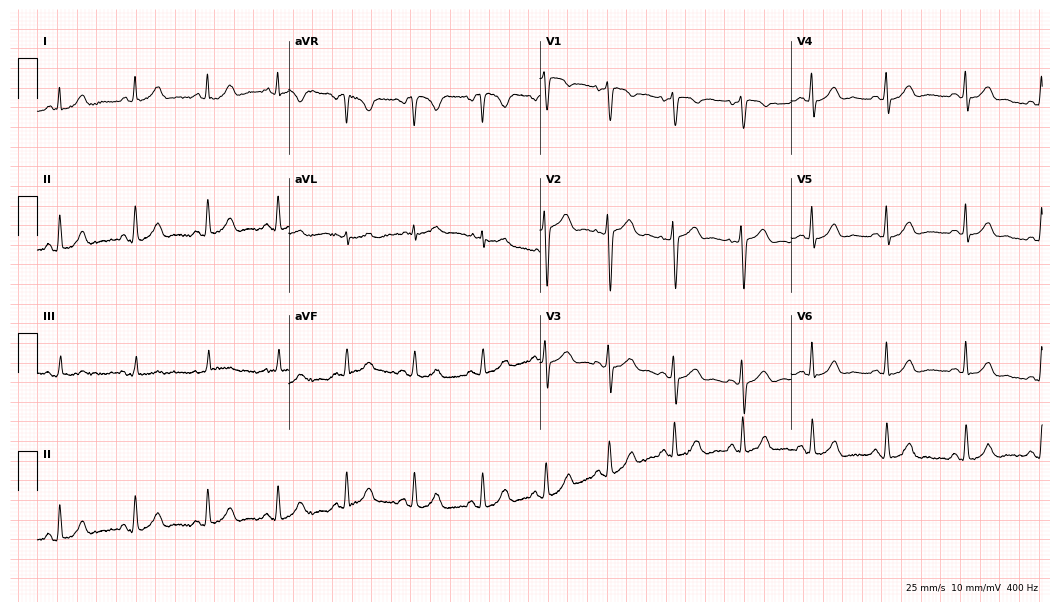
Electrocardiogram, a 27-year-old female. Overall reading on record: normal ECG.